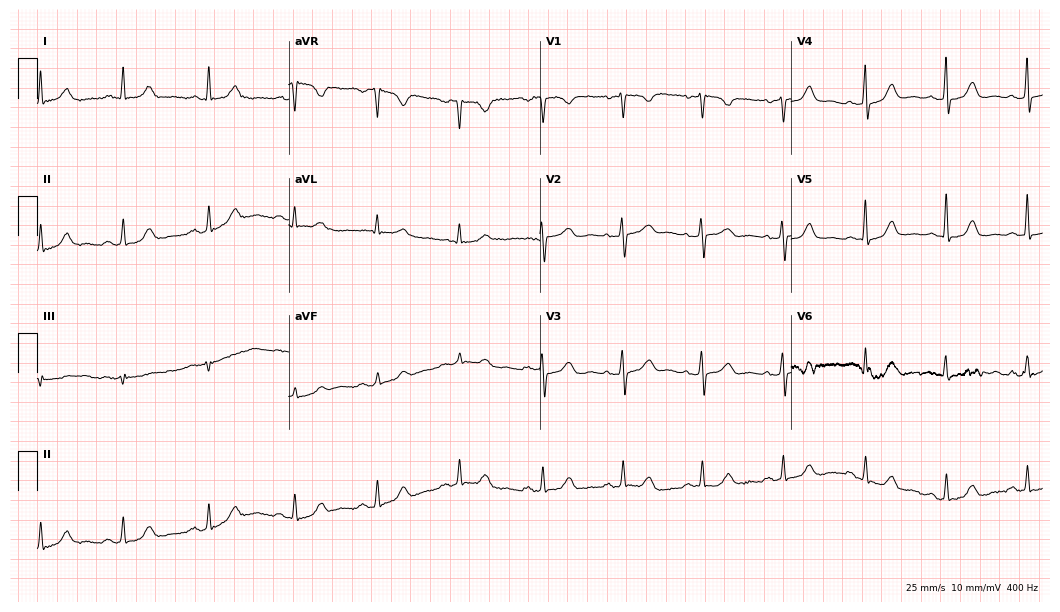
Resting 12-lead electrocardiogram. Patient: a female, 67 years old. Read as a normal ECG.